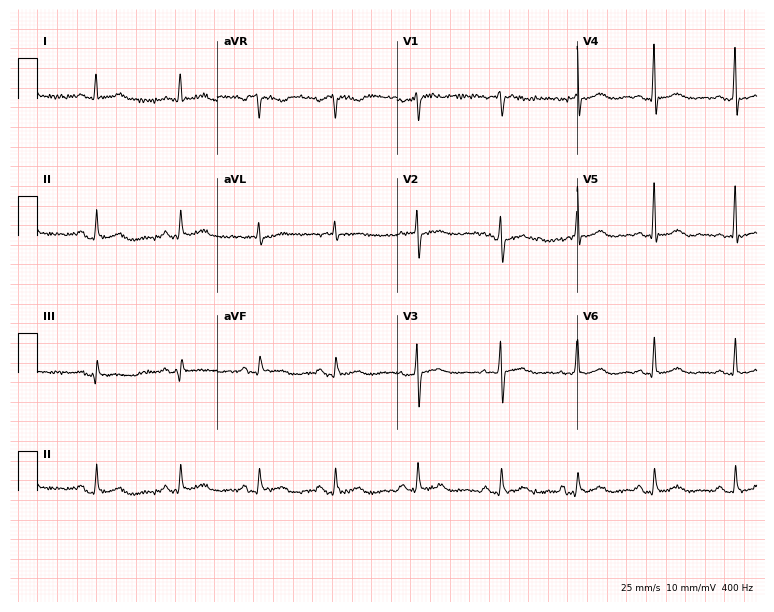
Electrocardiogram, a 59-year-old woman. Overall reading on record: normal ECG.